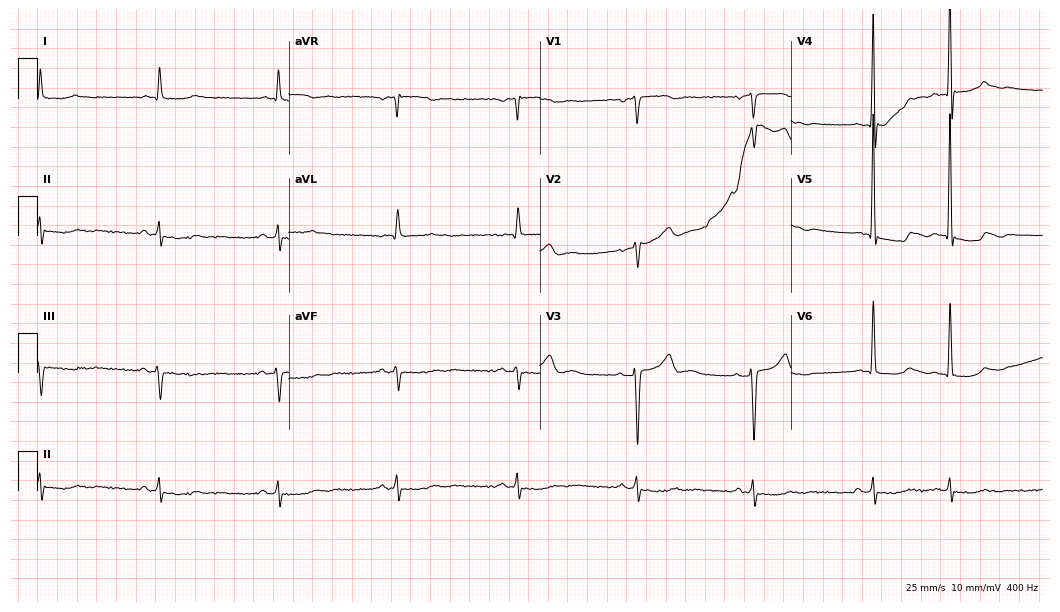
12-lead ECG from a man, 80 years old (10.2-second recording at 400 Hz). Recorded interpretation: within normal limits.